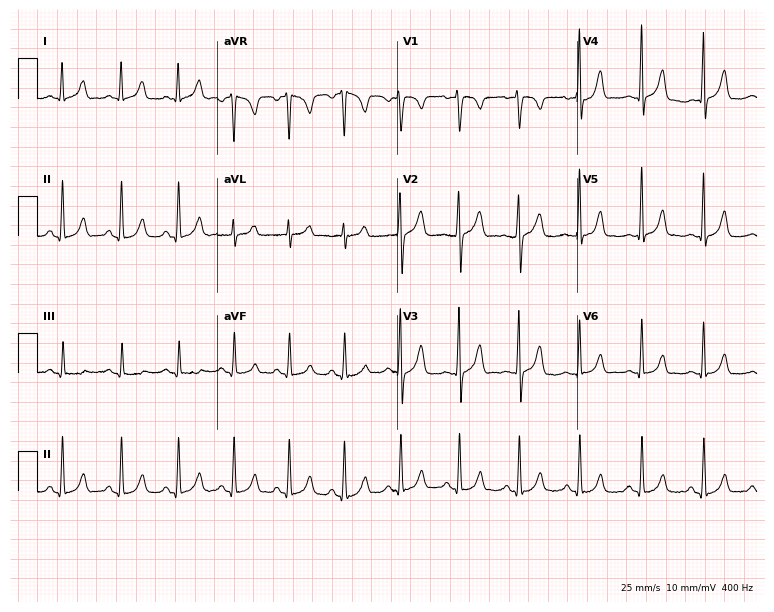
Electrocardiogram (7.3-second recording at 400 Hz), a 30-year-old female patient. Of the six screened findings (first-degree AV block, right bundle branch block, left bundle branch block, sinus bradycardia, atrial fibrillation, sinus tachycardia), none is recorded. Other findings, if any, are not listed.